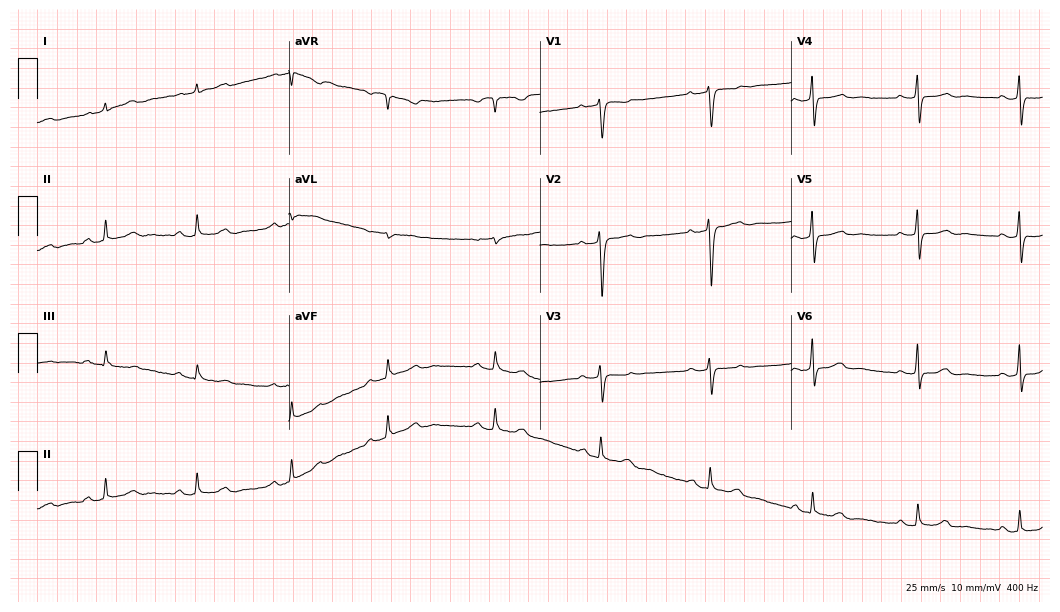
Standard 12-lead ECG recorded from a 43-year-old female patient. None of these six findings is recorded: first-degree AV block, right bundle branch block, left bundle branch block, sinus bradycardia, atrial fibrillation, sinus tachycardia. Only these six findings were labelled.